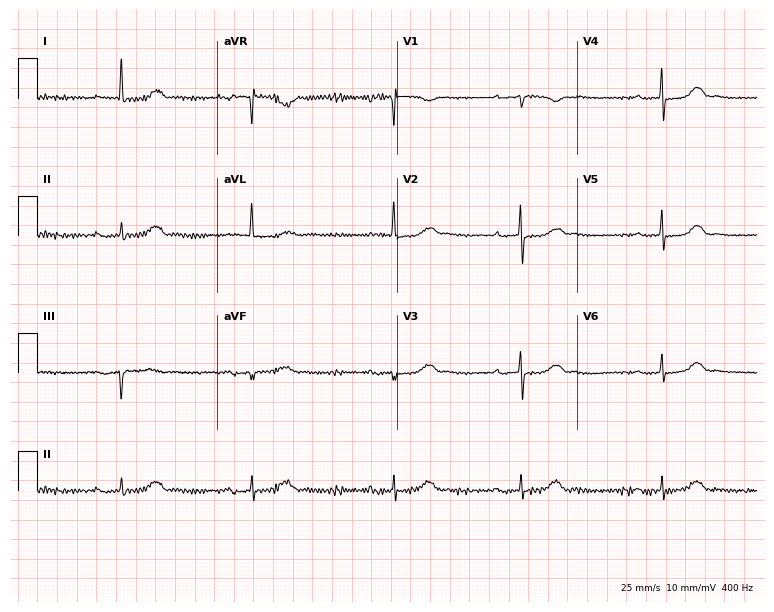
12-lead ECG from an 81-year-old female. Screened for six findings — first-degree AV block, right bundle branch block, left bundle branch block, sinus bradycardia, atrial fibrillation, sinus tachycardia — none is recorded.